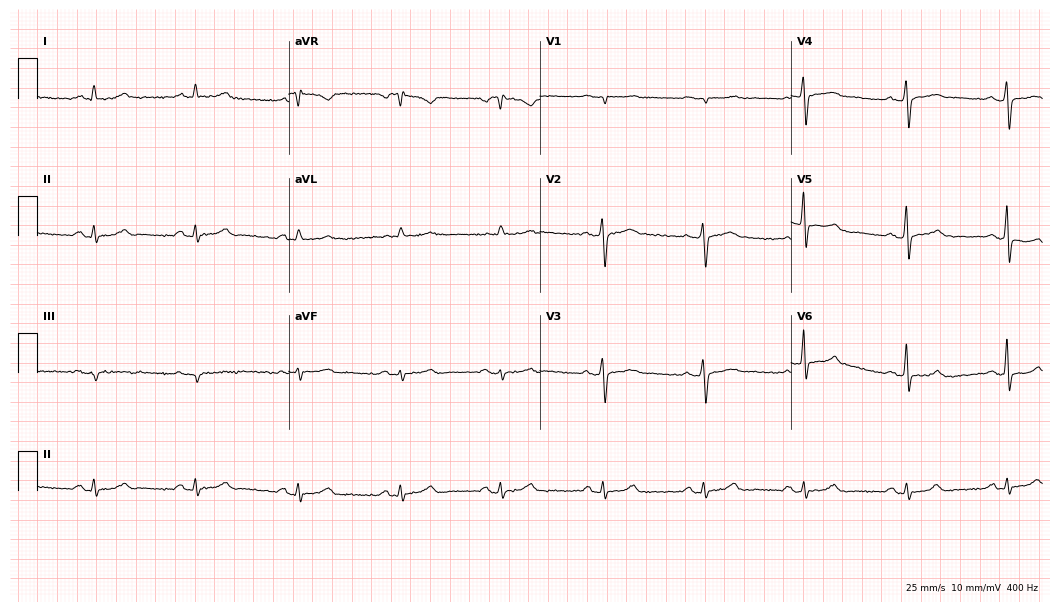
12-lead ECG from a male, 59 years old (10.2-second recording at 400 Hz). Recorded interpretation: within normal limits.